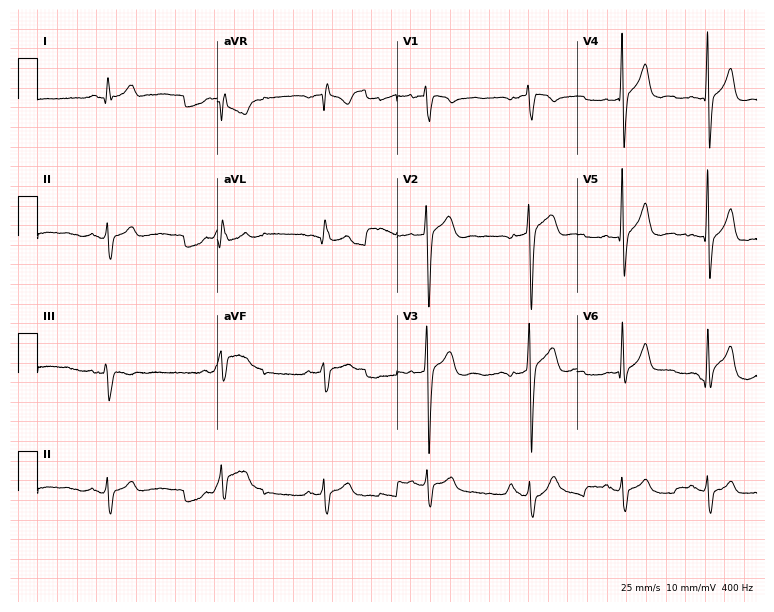
ECG (7.3-second recording at 400 Hz) — a 36-year-old man. Screened for six findings — first-degree AV block, right bundle branch block, left bundle branch block, sinus bradycardia, atrial fibrillation, sinus tachycardia — none is recorded. Findings outside these six are not listed.